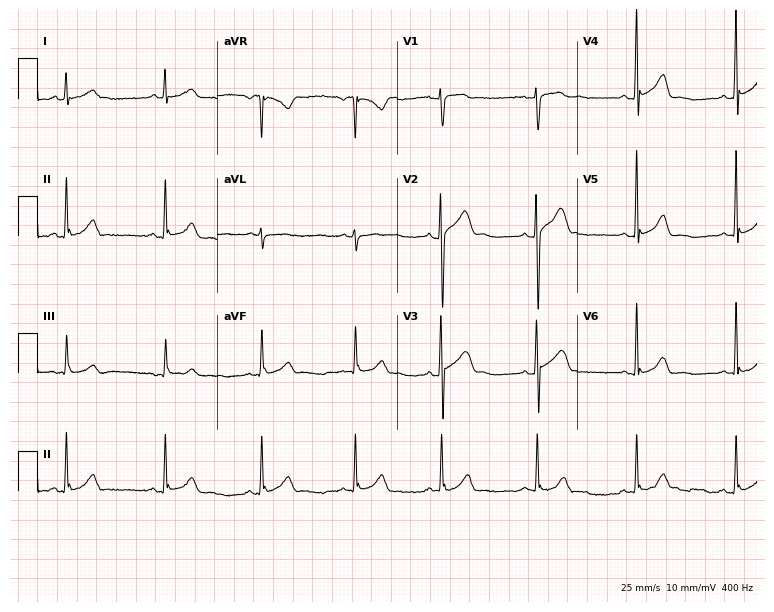
ECG (7.3-second recording at 400 Hz) — a 20-year-old male. Screened for six findings — first-degree AV block, right bundle branch block, left bundle branch block, sinus bradycardia, atrial fibrillation, sinus tachycardia — none is recorded. Other findings, if any, are not listed.